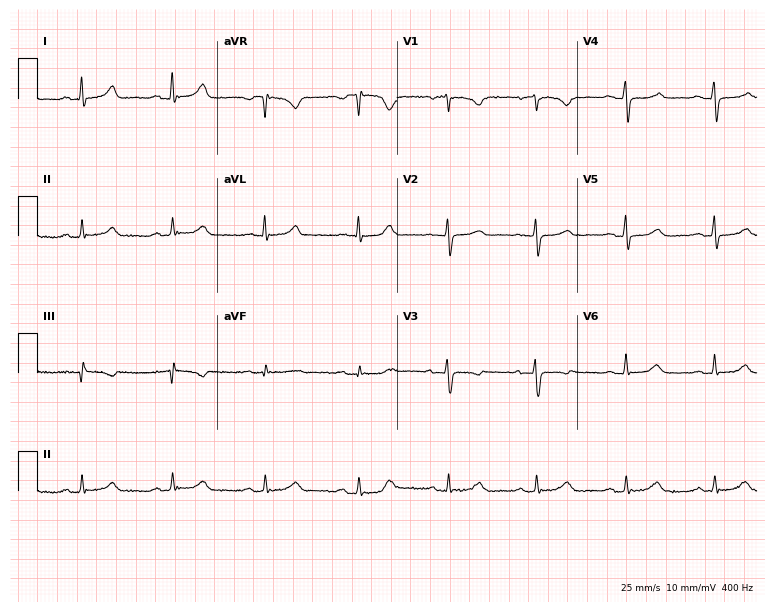
Electrocardiogram (7.3-second recording at 400 Hz), a 57-year-old female patient. Overall reading on record: normal ECG.